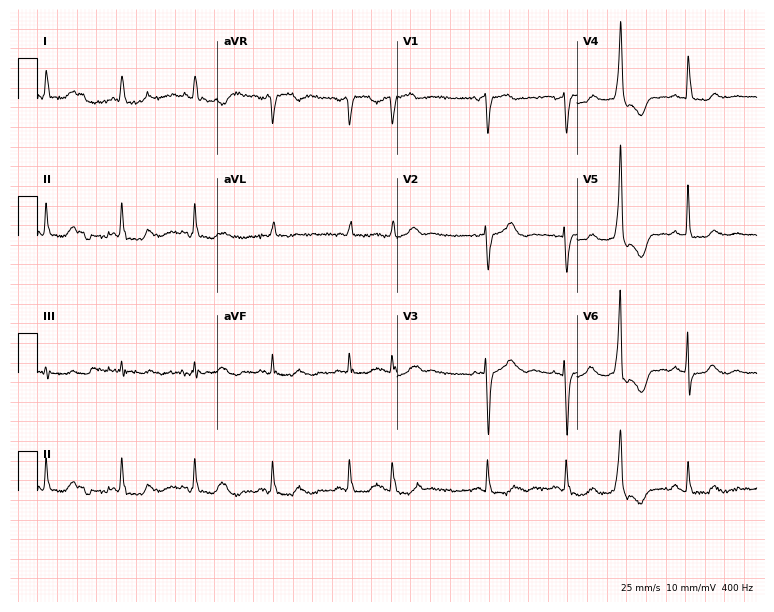
Electrocardiogram (7.3-second recording at 400 Hz), a female, 84 years old. Of the six screened findings (first-degree AV block, right bundle branch block, left bundle branch block, sinus bradycardia, atrial fibrillation, sinus tachycardia), none is recorded. Findings outside these six are not listed.